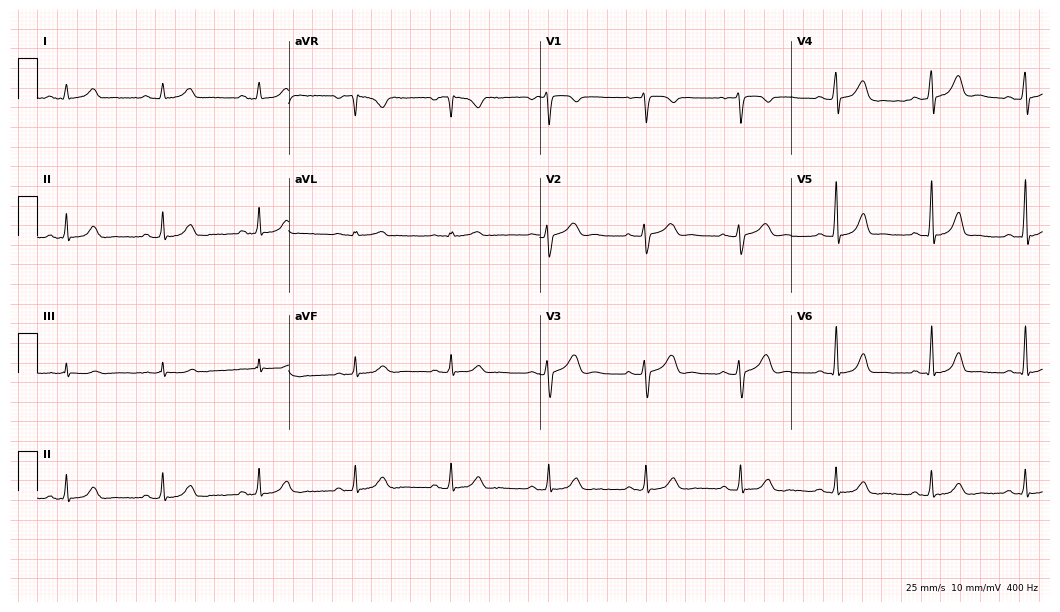
ECG — a female patient, 44 years old. Labelled as a normal ECG.